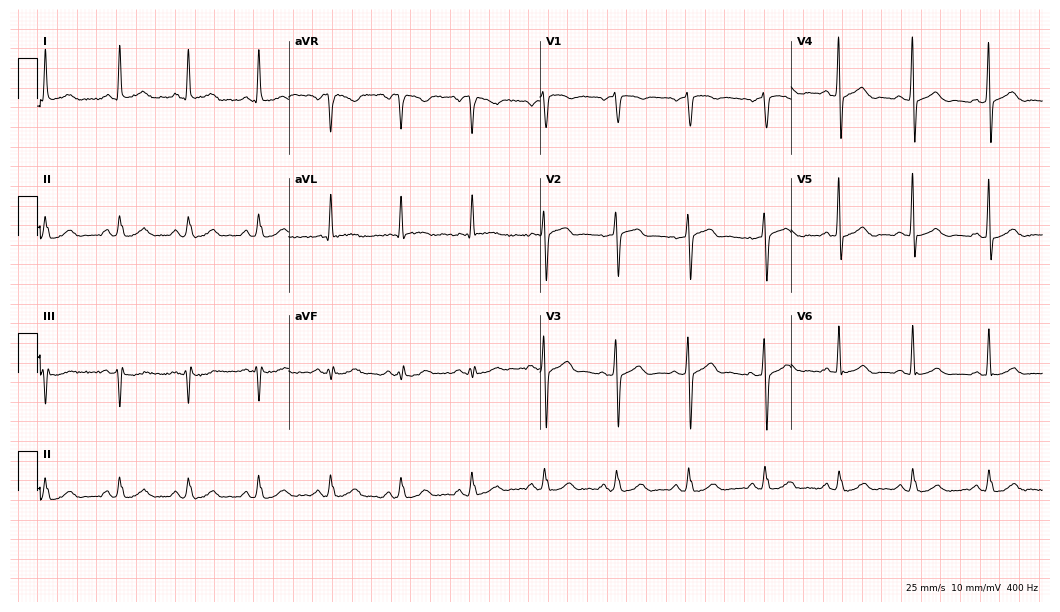
12-lead ECG from a male patient, 53 years old (10.2-second recording at 400 Hz). Recorded interpretation: within normal limits.